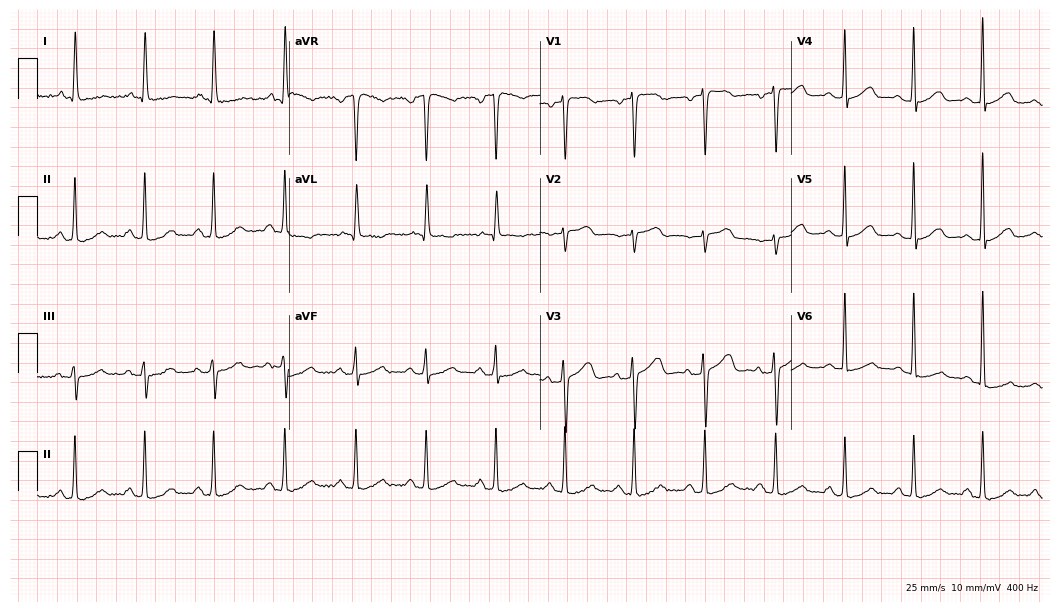
Standard 12-lead ECG recorded from a female patient, 70 years old (10.2-second recording at 400 Hz). Read as a normal ECG.